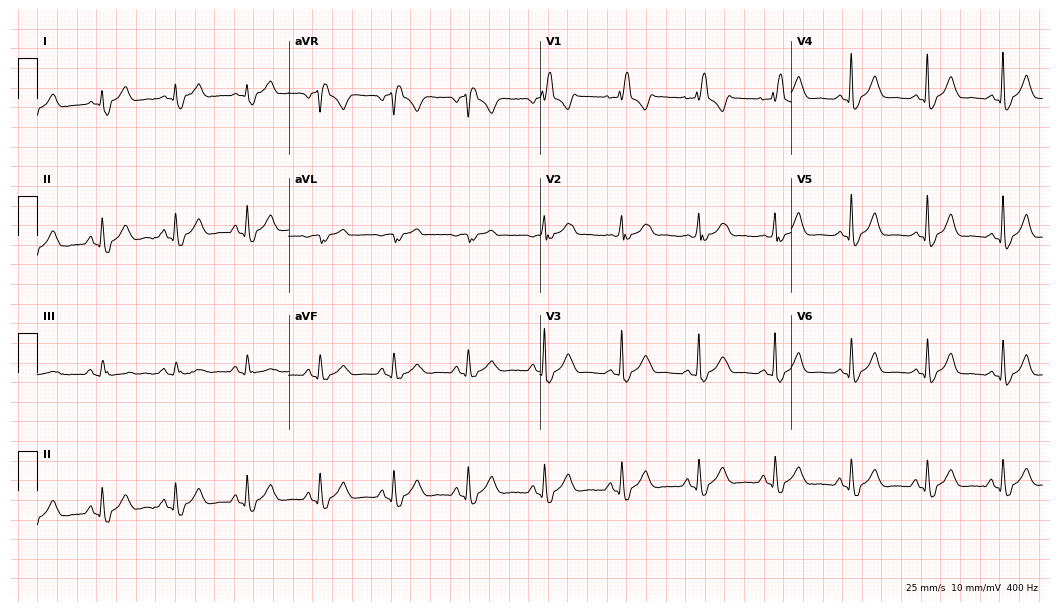
ECG (10.2-second recording at 400 Hz) — a female patient, 56 years old. Findings include right bundle branch block (RBBB).